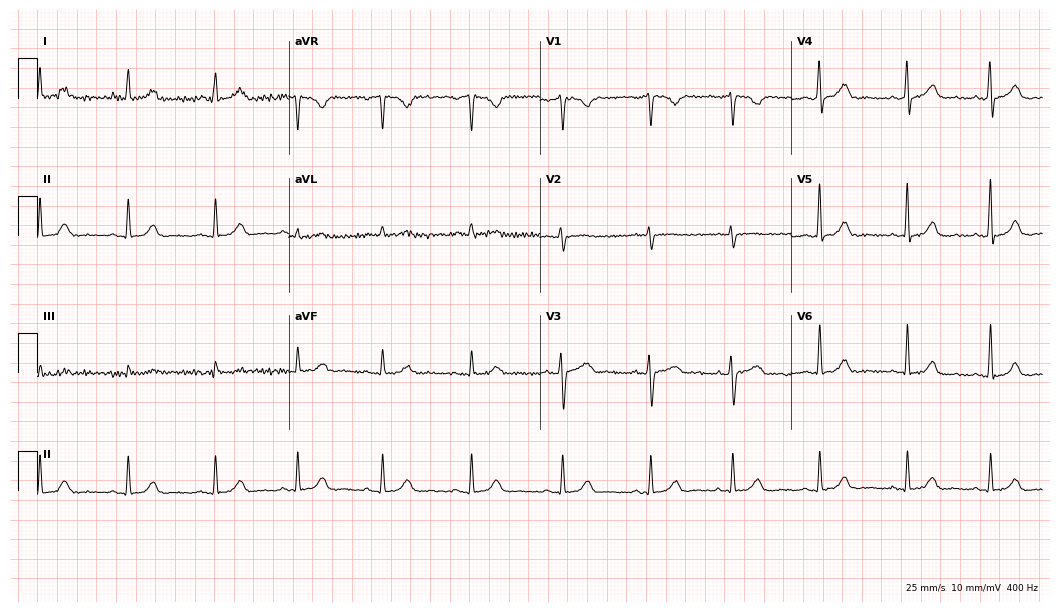
Electrocardiogram, a 43-year-old woman. Of the six screened findings (first-degree AV block, right bundle branch block (RBBB), left bundle branch block (LBBB), sinus bradycardia, atrial fibrillation (AF), sinus tachycardia), none is recorded. Only these six findings were labelled.